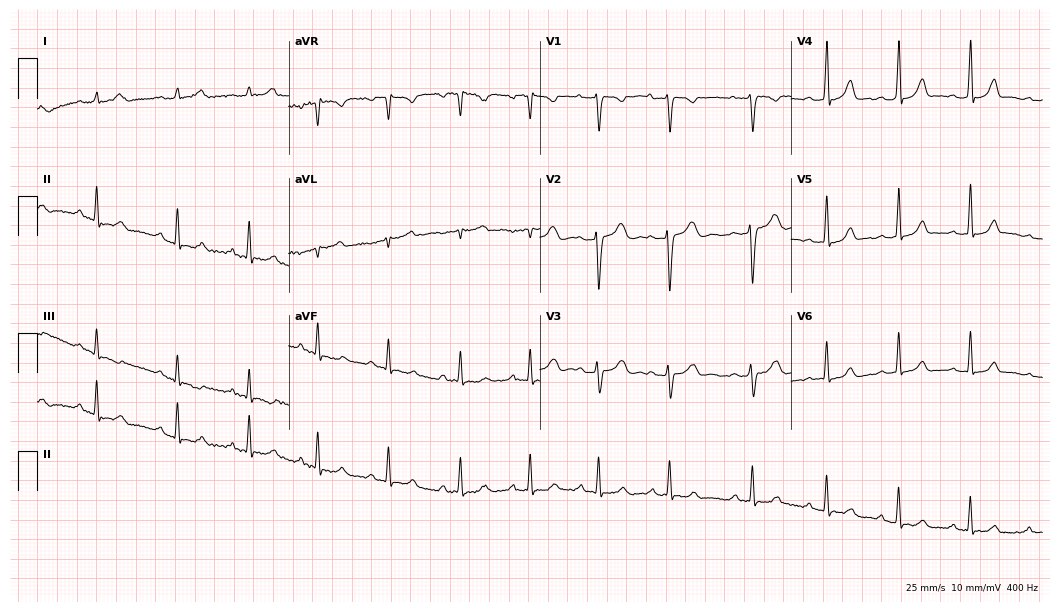
Electrocardiogram, a 25-year-old female. Of the six screened findings (first-degree AV block, right bundle branch block (RBBB), left bundle branch block (LBBB), sinus bradycardia, atrial fibrillation (AF), sinus tachycardia), none is recorded.